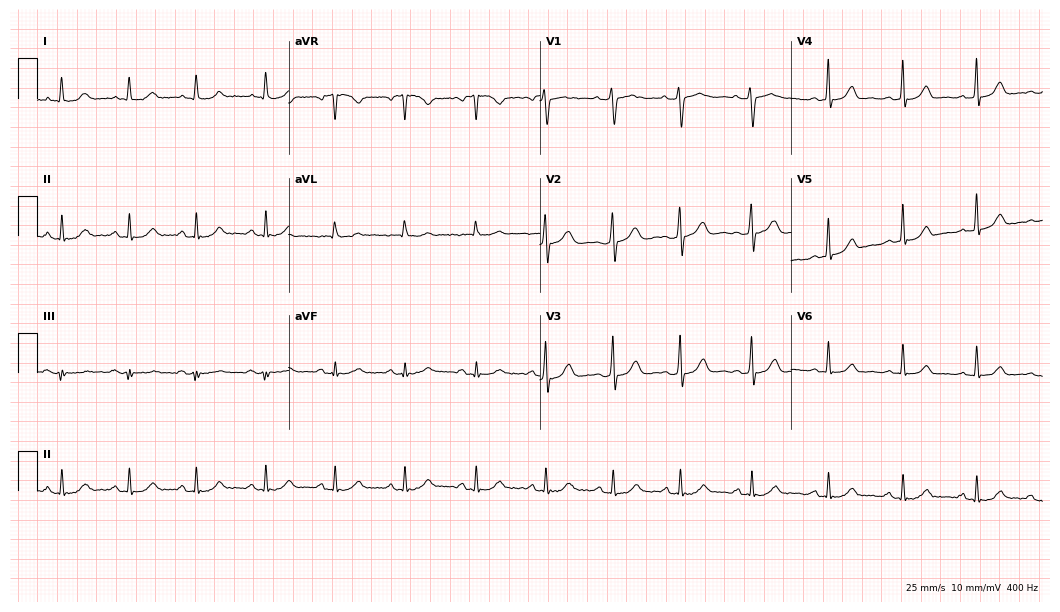
ECG — a 48-year-old female patient. Labelled as a normal ECG.